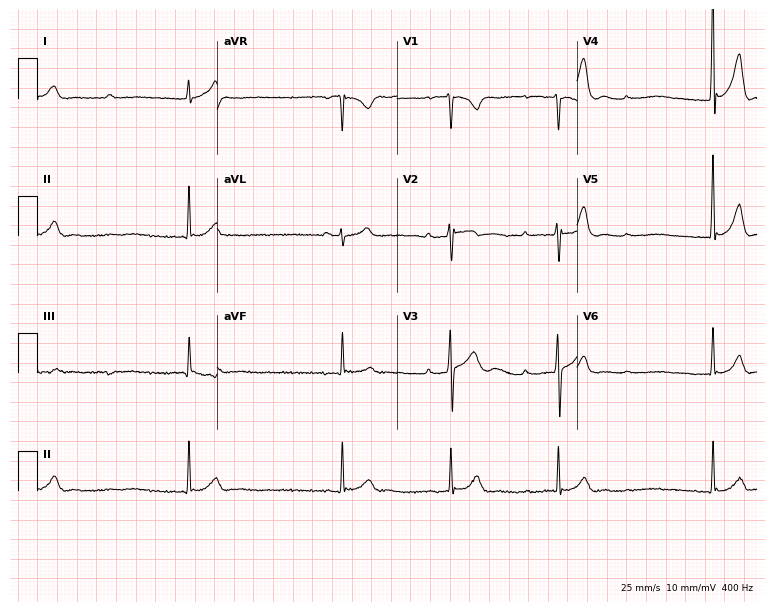
Resting 12-lead electrocardiogram (7.3-second recording at 400 Hz). Patient: a male, 29 years old. None of these six findings is recorded: first-degree AV block, right bundle branch block, left bundle branch block, sinus bradycardia, atrial fibrillation, sinus tachycardia. Findings outside these six are not listed.